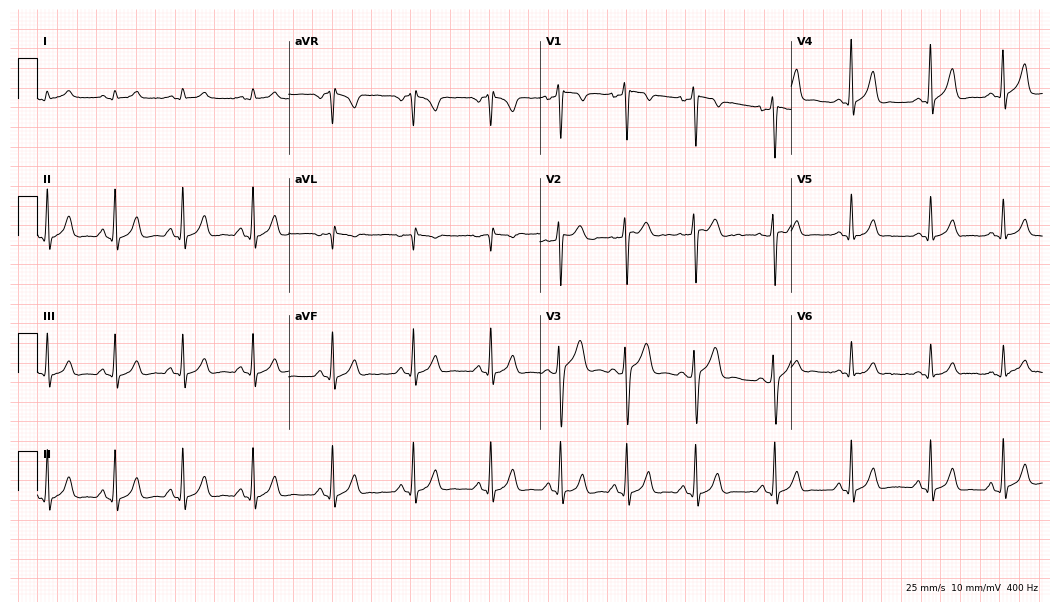
Standard 12-lead ECG recorded from a 19-year-old male patient. Read as a normal ECG.